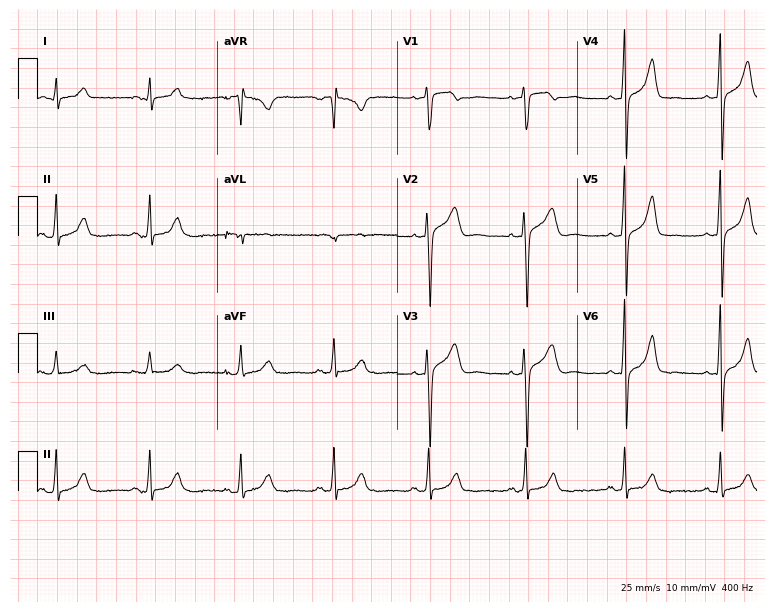
Electrocardiogram, a 54-year-old man. Of the six screened findings (first-degree AV block, right bundle branch block (RBBB), left bundle branch block (LBBB), sinus bradycardia, atrial fibrillation (AF), sinus tachycardia), none is recorded.